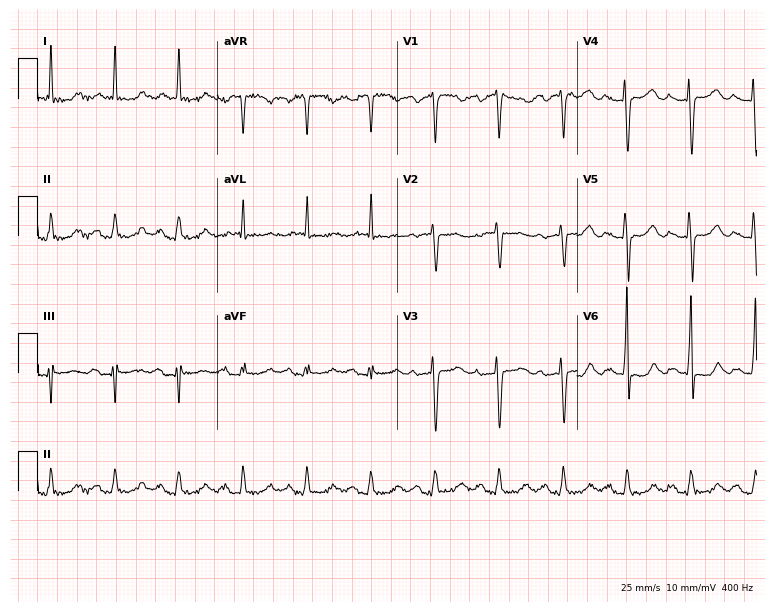
12-lead ECG from a 74-year-old female (7.3-second recording at 400 Hz). No first-degree AV block, right bundle branch block, left bundle branch block, sinus bradycardia, atrial fibrillation or sinus tachycardia recorded for this tracing.